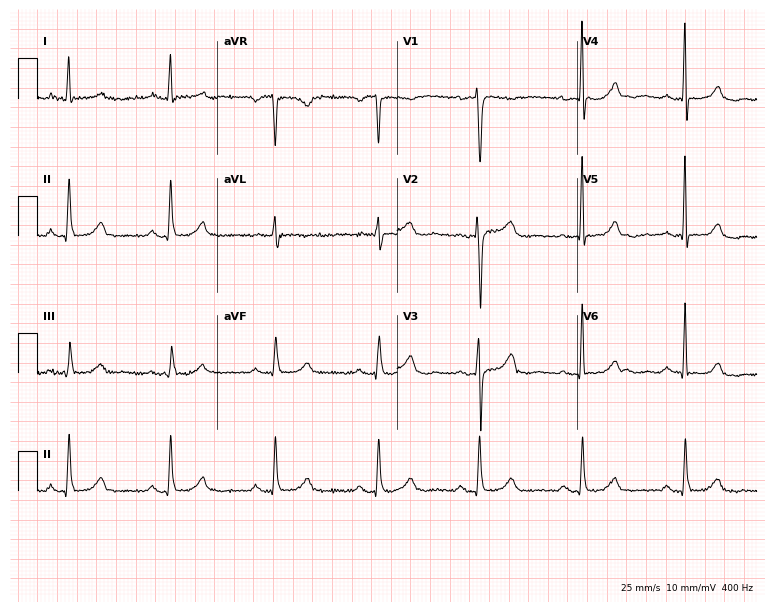
Electrocardiogram, a female patient, 69 years old. Overall reading on record: normal ECG.